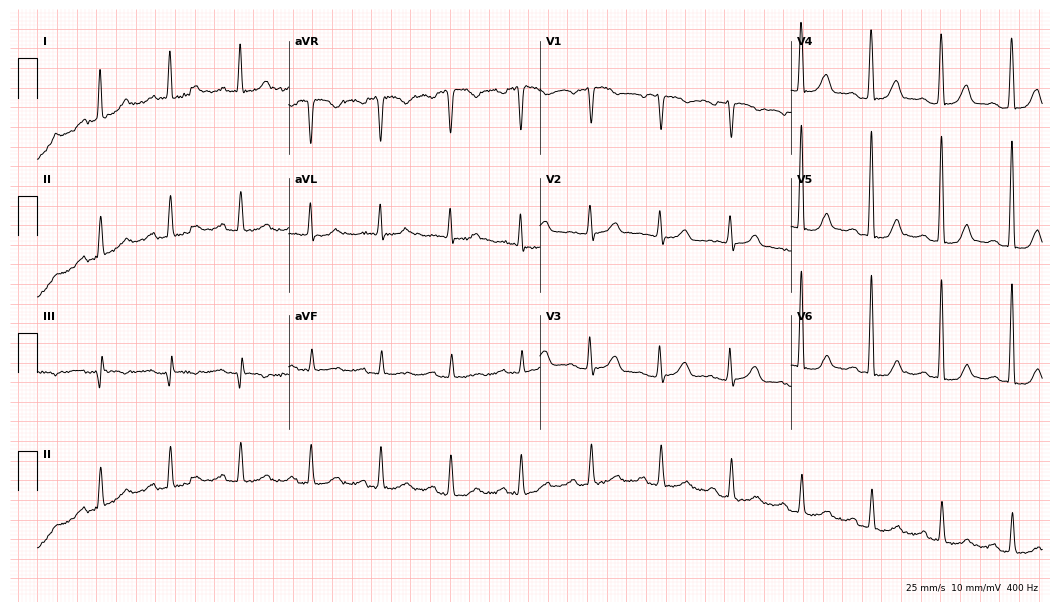
Standard 12-lead ECG recorded from a 72-year-old female (10.2-second recording at 400 Hz). None of these six findings is recorded: first-degree AV block, right bundle branch block, left bundle branch block, sinus bradycardia, atrial fibrillation, sinus tachycardia.